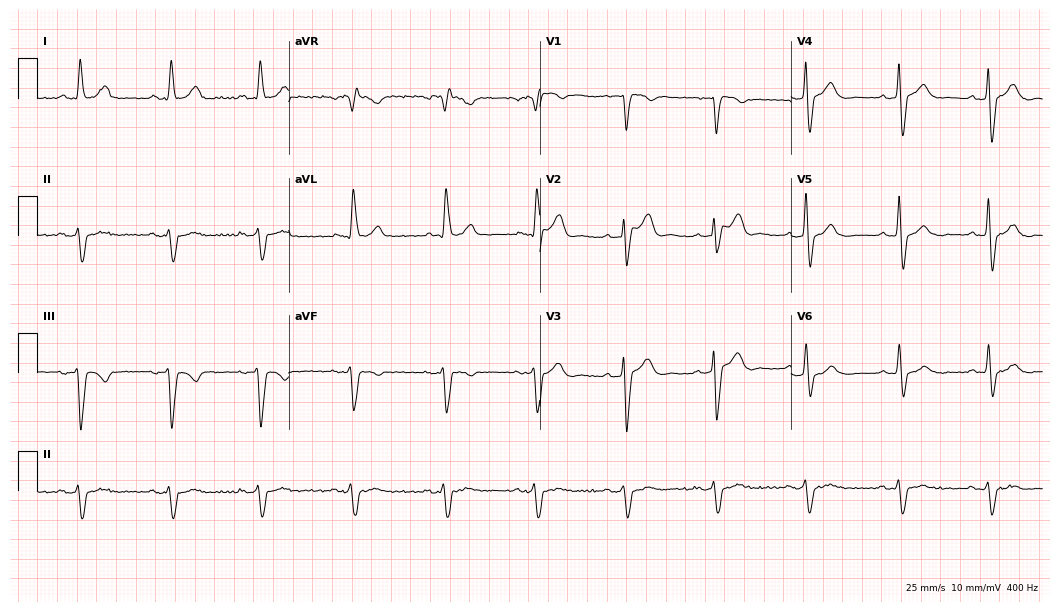
Electrocardiogram (10.2-second recording at 400 Hz), a man, 86 years old. Of the six screened findings (first-degree AV block, right bundle branch block (RBBB), left bundle branch block (LBBB), sinus bradycardia, atrial fibrillation (AF), sinus tachycardia), none is recorded.